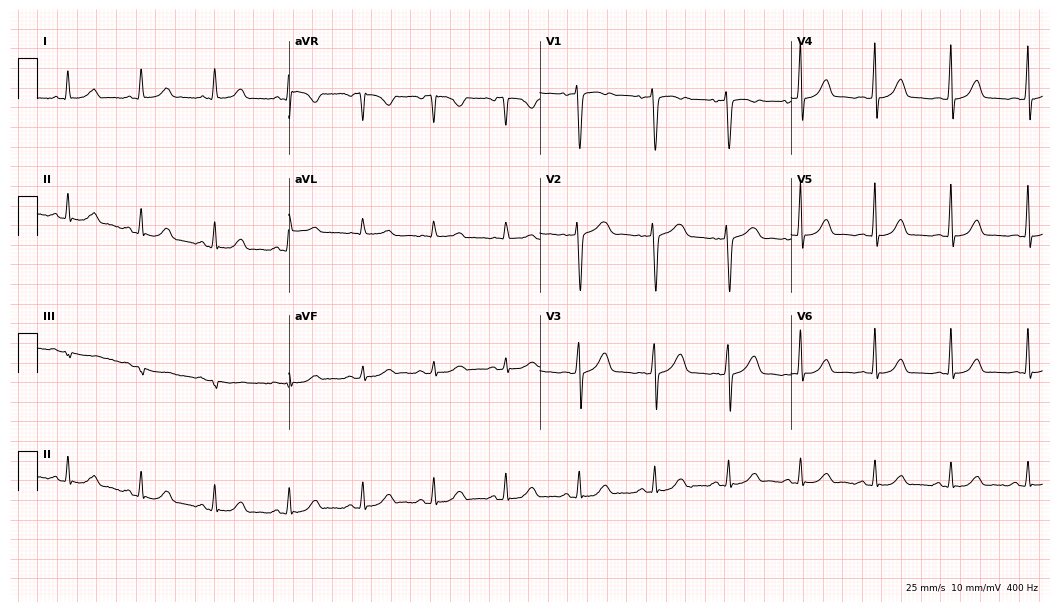
Electrocardiogram, a 36-year-old female. Overall reading on record: normal ECG.